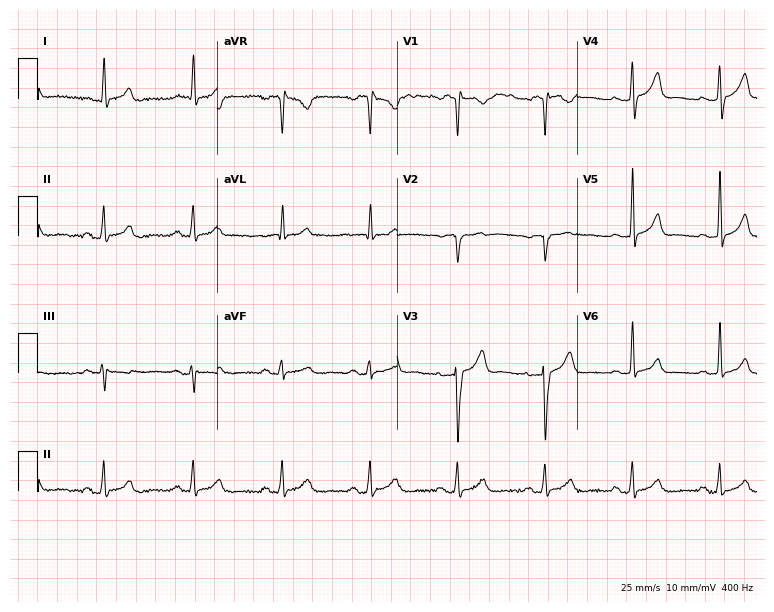
Standard 12-lead ECG recorded from a man, 57 years old. Read as a normal ECG.